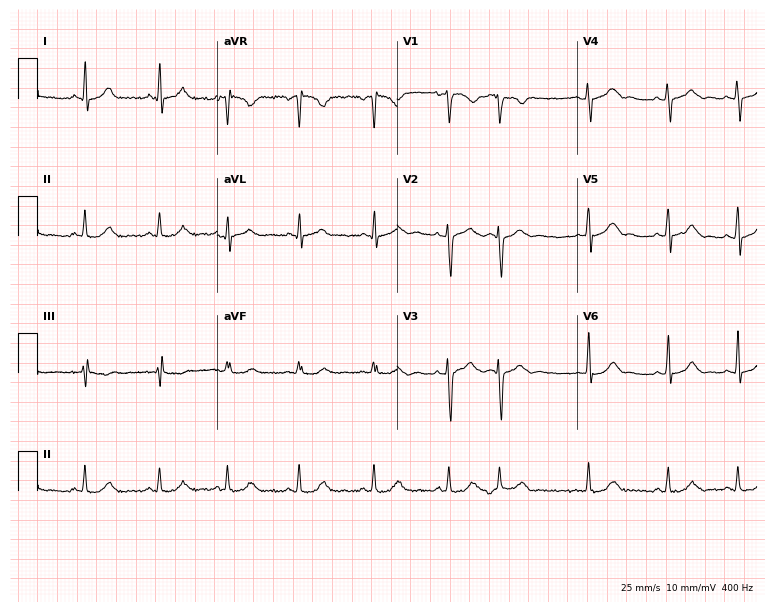
ECG — a female, 29 years old. Labelled as a normal ECG.